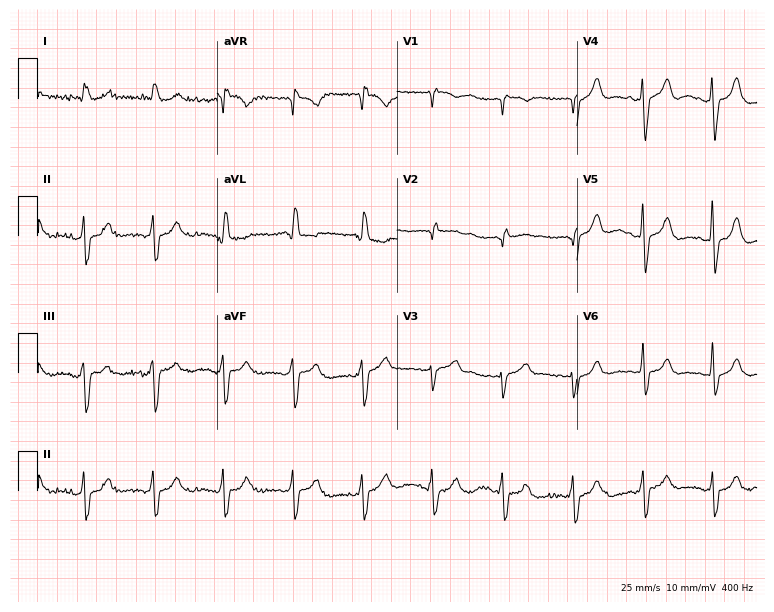
Standard 12-lead ECG recorded from a female, 85 years old (7.3-second recording at 400 Hz). None of these six findings is recorded: first-degree AV block, right bundle branch block (RBBB), left bundle branch block (LBBB), sinus bradycardia, atrial fibrillation (AF), sinus tachycardia. Only these six findings were labelled.